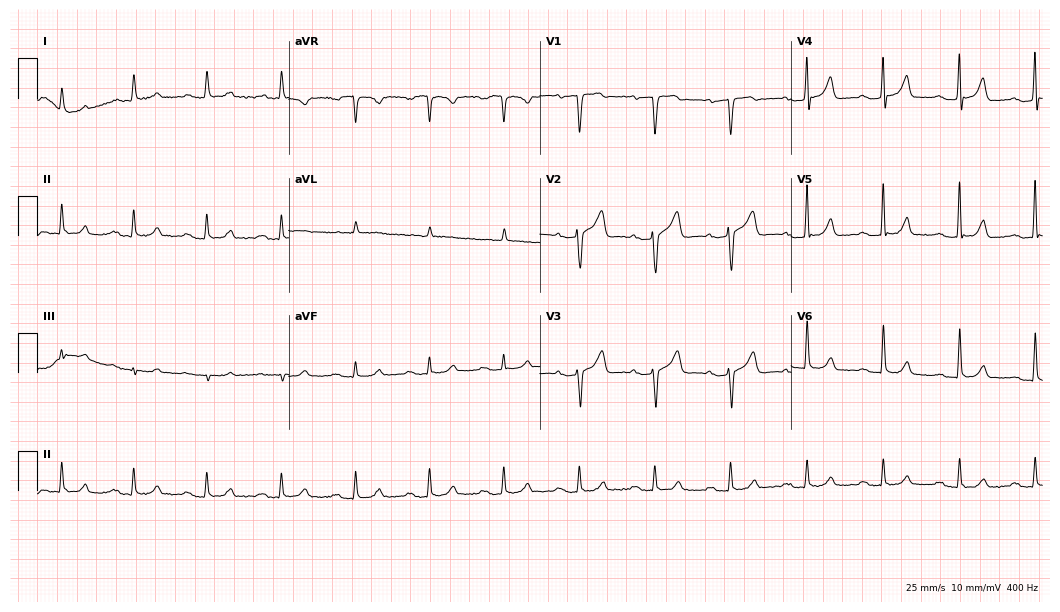
Standard 12-lead ECG recorded from a male patient, 57 years old (10.2-second recording at 400 Hz). None of these six findings is recorded: first-degree AV block, right bundle branch block, left bundle branch block, sinus bradycardia, atrial fibrillation, sinus tachycardia.